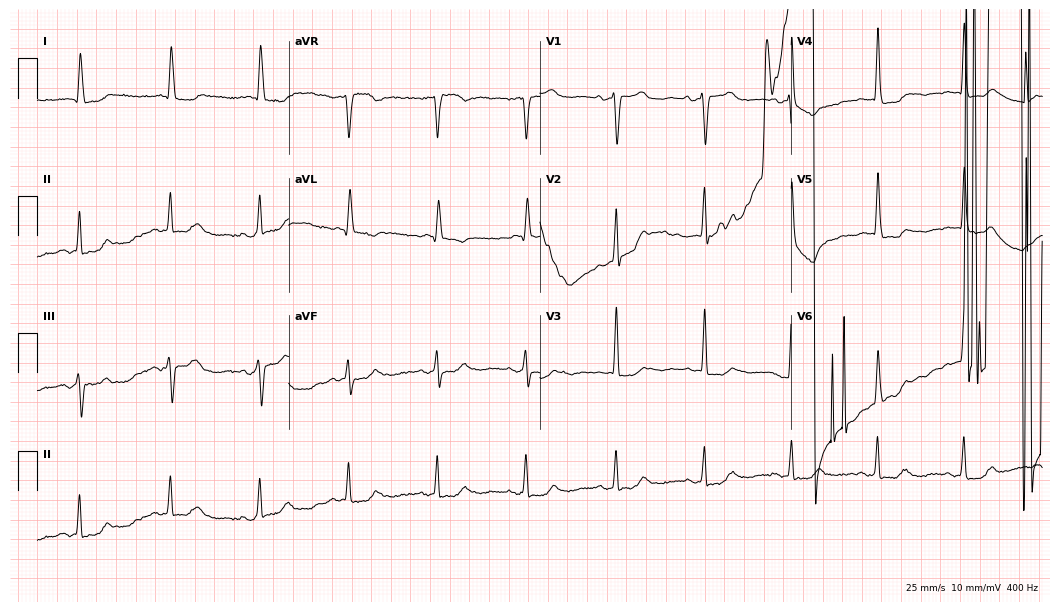
Electrocardiogram, a woman, 77 years old. Of the six screened findings (first-degree AV block, right bundle branch block, left bundle branch block, sinus bradycardia, atrial fibrillation, sinus tachycardia), none is recorded.